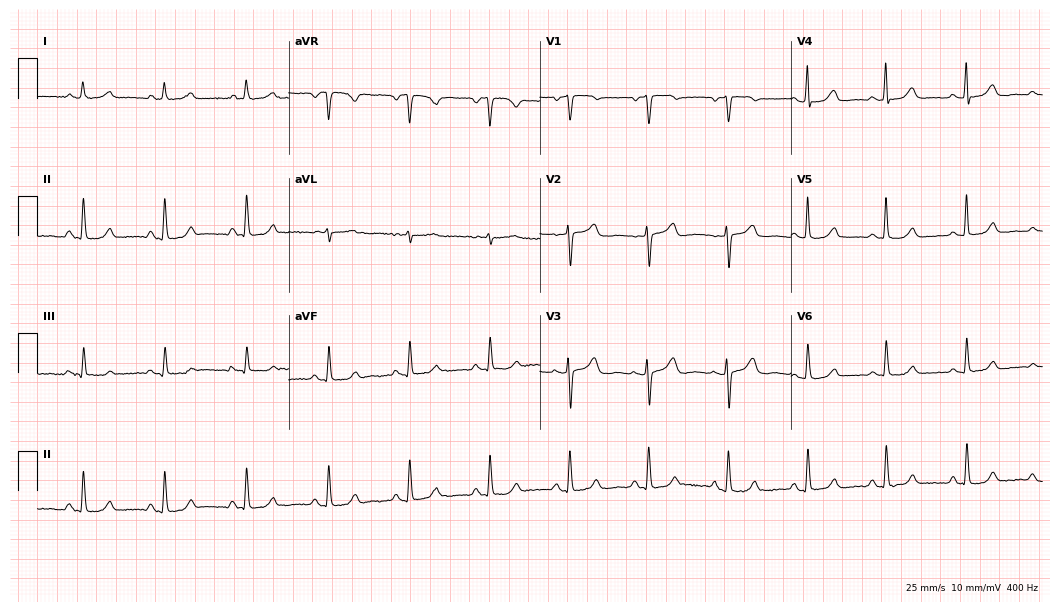
12-lead ECG (10.2-second recording at 400 Hz) from a 77-year-old female patient. Labelled as a normal ECG.